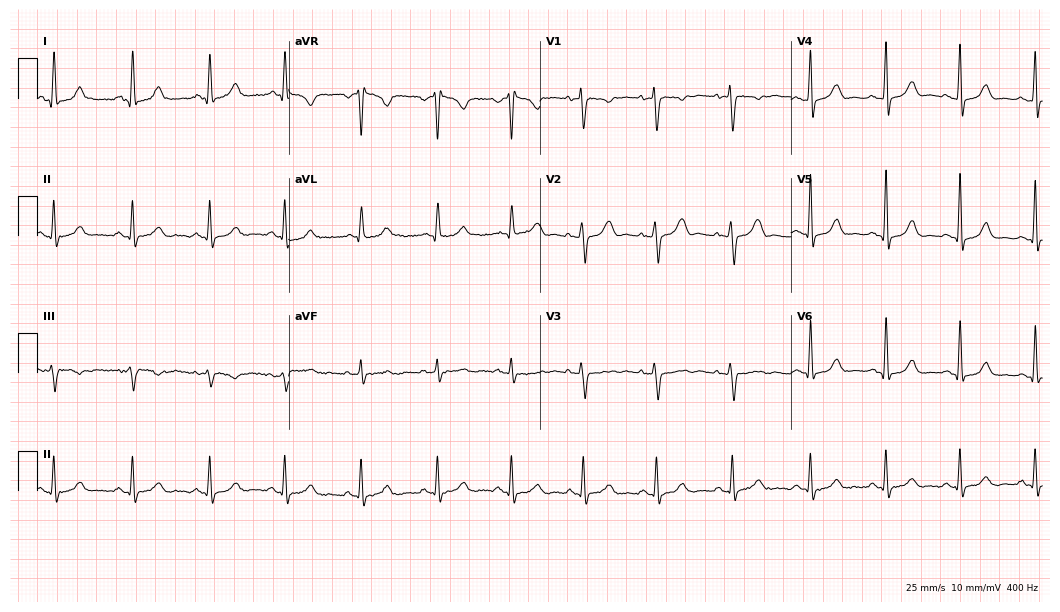
12-lead ECG from a 34-year-old female (10.2-second recording at 400 Hz). Recorded interpretation: within normal limits.